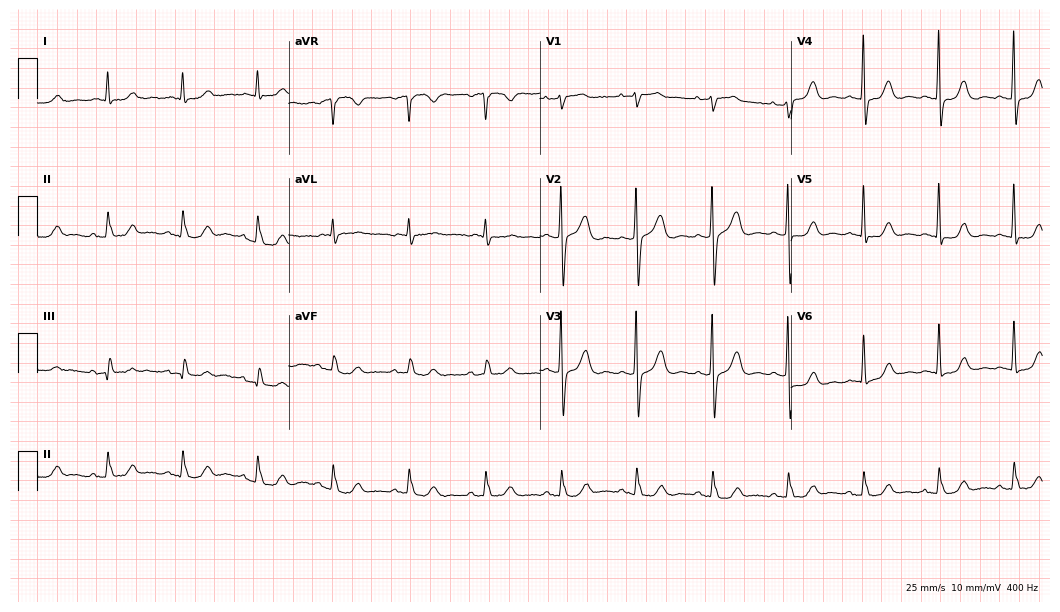
Standard 12-lead ECG recorded from a female patient, 75 years old. None of these six findings is recorded: first-degree AV block, right bundle branch block, left bundle branch block, sinus bradycardia, atrial fibrillation, sinus tachycardia. Other findings, if any, are not listed.